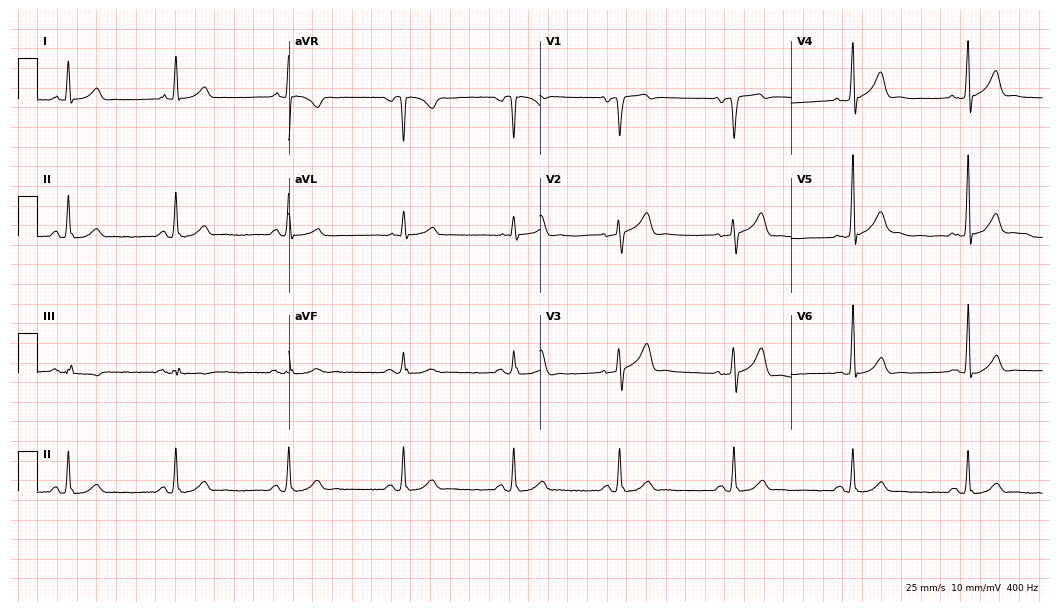
ECG — a 55-year-old man. Labelled as a normal ECG.